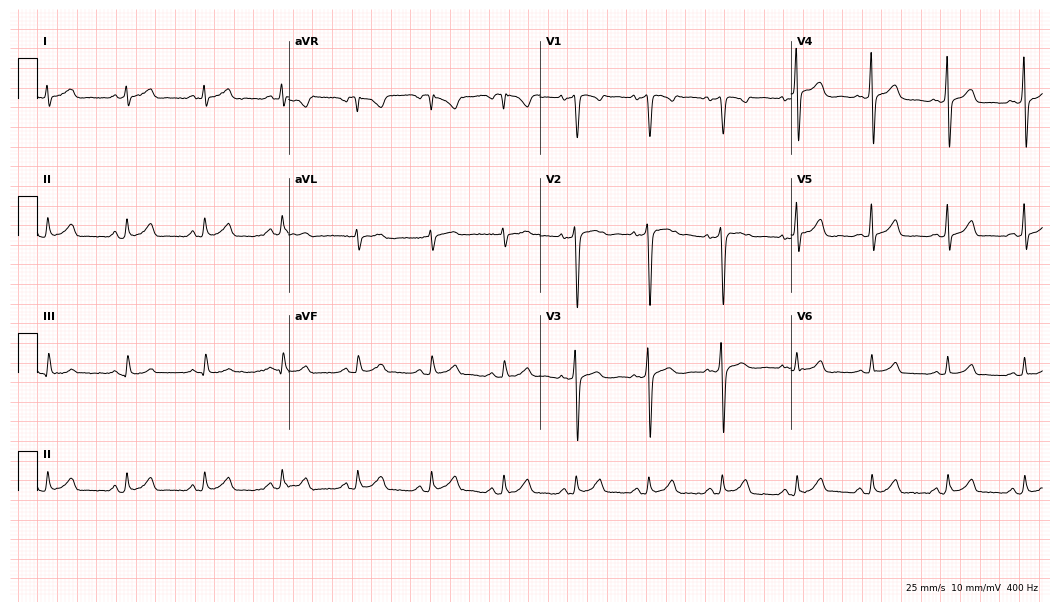
Resting 12-lead electrocardiogram. Patient: a 51-year-old woman. Read as a normal ECG.